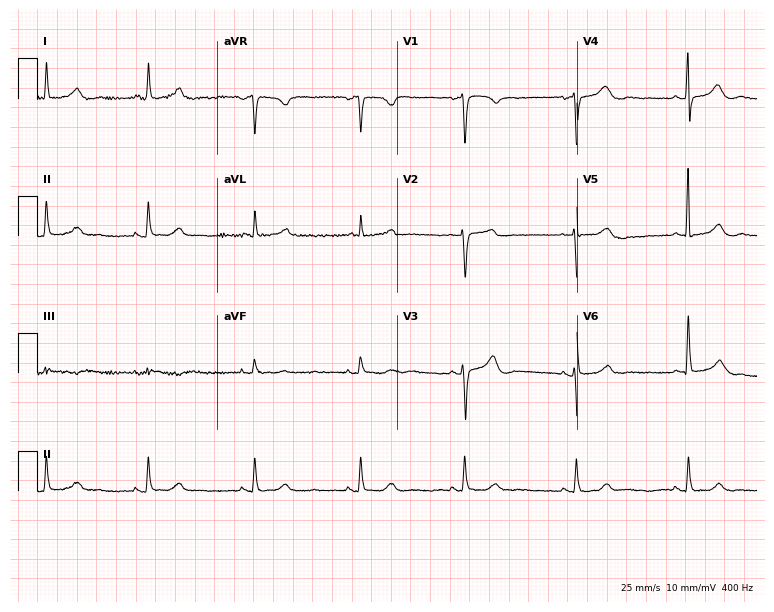
Resting 12-lead electrocardiogram (7.3-second recording at 400 Hz). Patient: a 49-year-old woman. None of these six findings is recorded: first-degree AV block, right bundle branch block (RBBB), left bundle branch block (LBBB), sinus bradycardia, atrial fibrillation (AF), sinus tachycardia. Other findings, if any, are not listed.